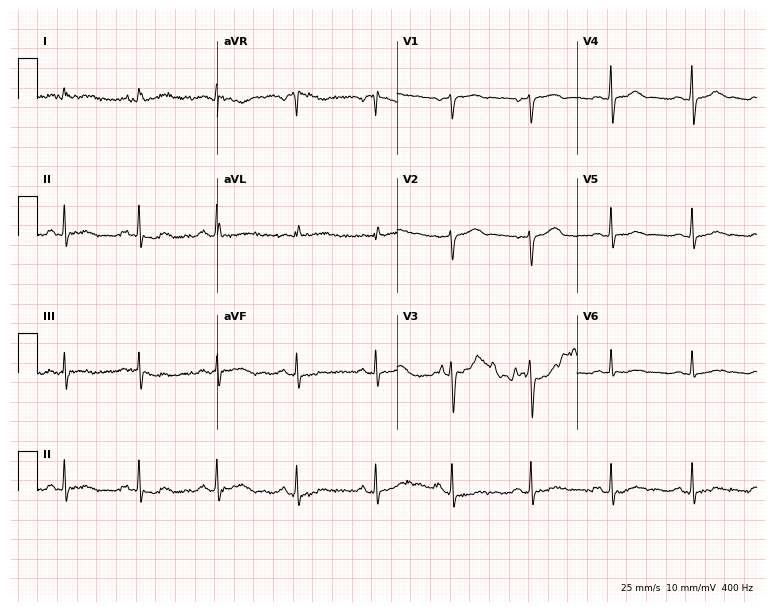
Resting 12-lead electrocardiogram. Patient: a female, 48 years old. Read as a normal ECG.